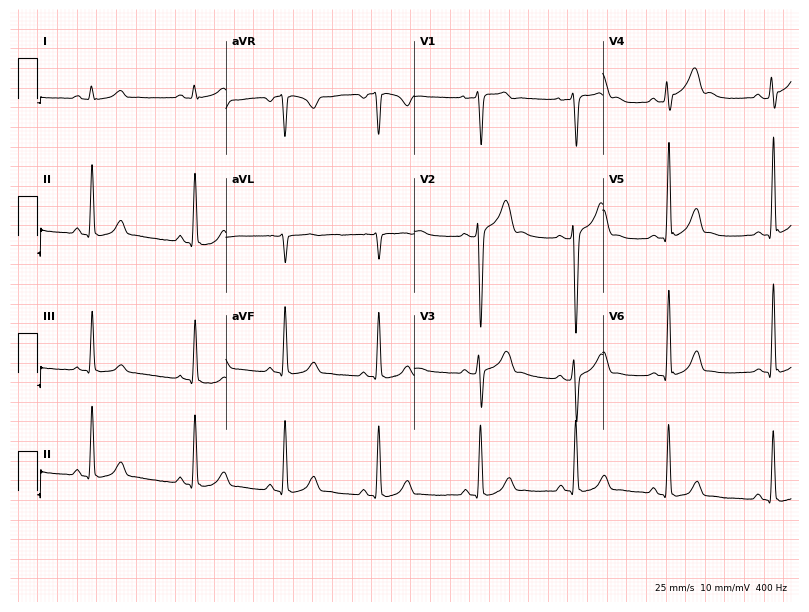
Electrocardiogram, an 18-year-old man. Of the six screened findings (first-degree AV block, right bundle branch block, left bundle branch block, sinus bradycardia, atrial fibrillation, sinus tachycardia), none is recorded. Only these six findings were labelled.